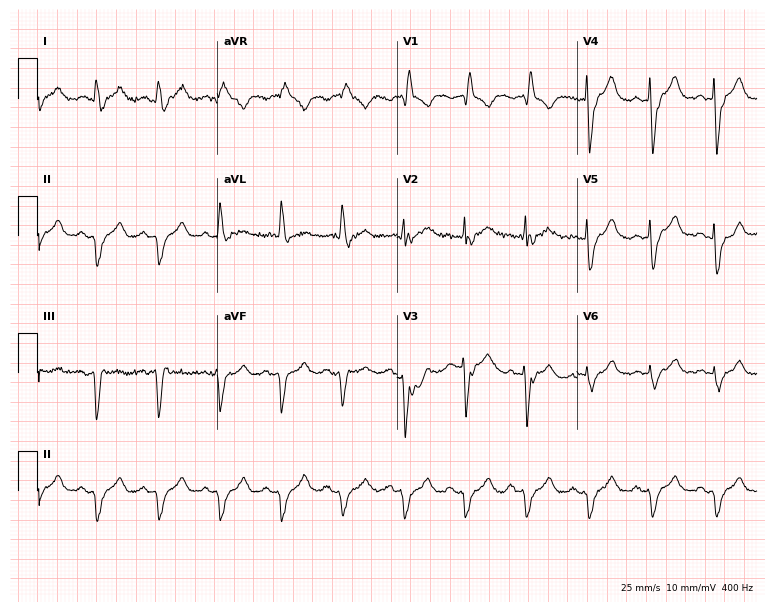
Standard 12-lead ECG recorded from a 72-year-old male. The tracing shows right bundle branch block (RBBB).